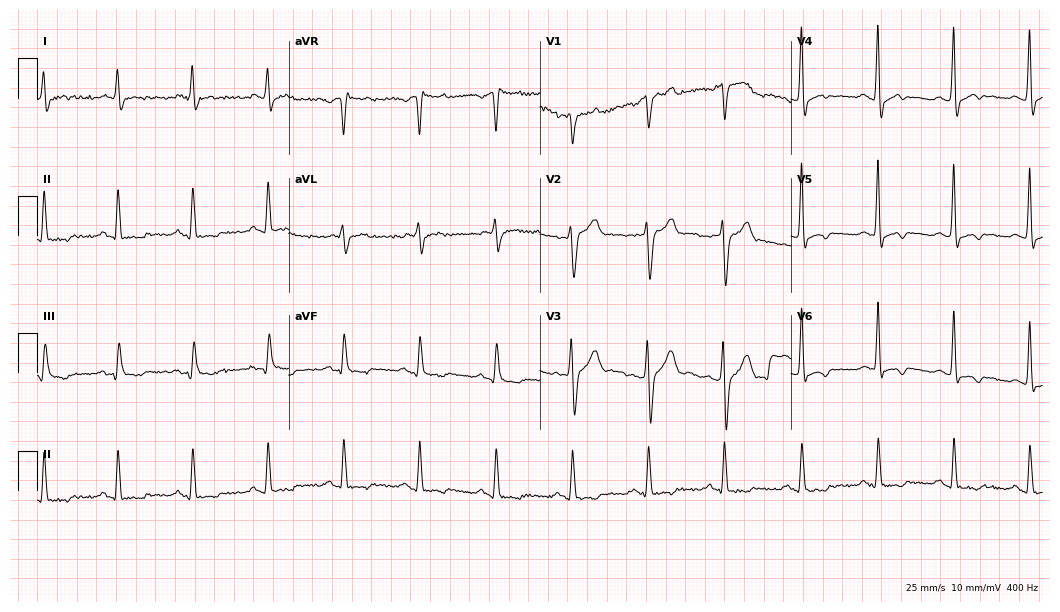
Standard 12-lead ECG recorded from a 57-year-old man (10.2-second recording at 400 Hz). None of these six findings is recorded: first-degree AV block, right bundle branch block, left bundle branch block, sinus bradycardia, atrial fibrillation, sinus tachycardia.